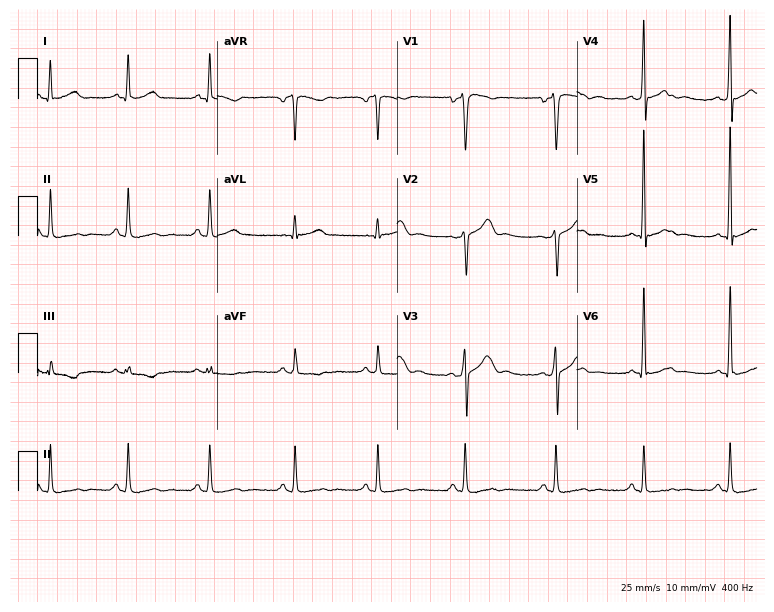
Standard 12-lead ECG recorded from a 36-year-old man. None of these six findings is recorded: first-degree AV block, right bundle branch block (RBBB), left bundle branch block (LBBB), sinus bradycardia, atrial fibrillation (AF), sinus tachycardia.